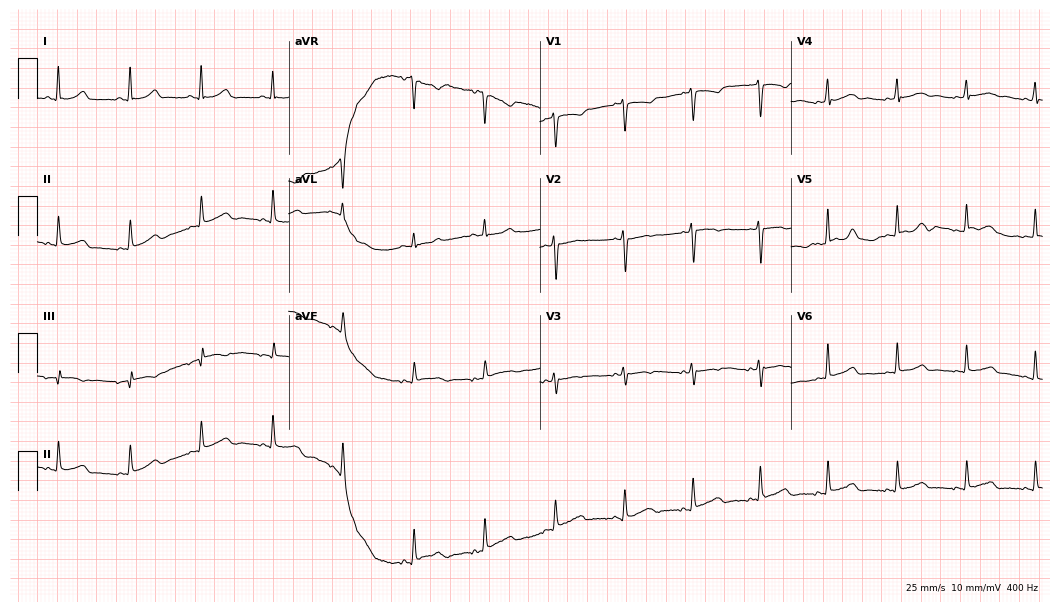
Electrocardiogram (10.2-second recording at 400 Hz), a 41-year-old female patient. Overall reading on record: normal ECG.